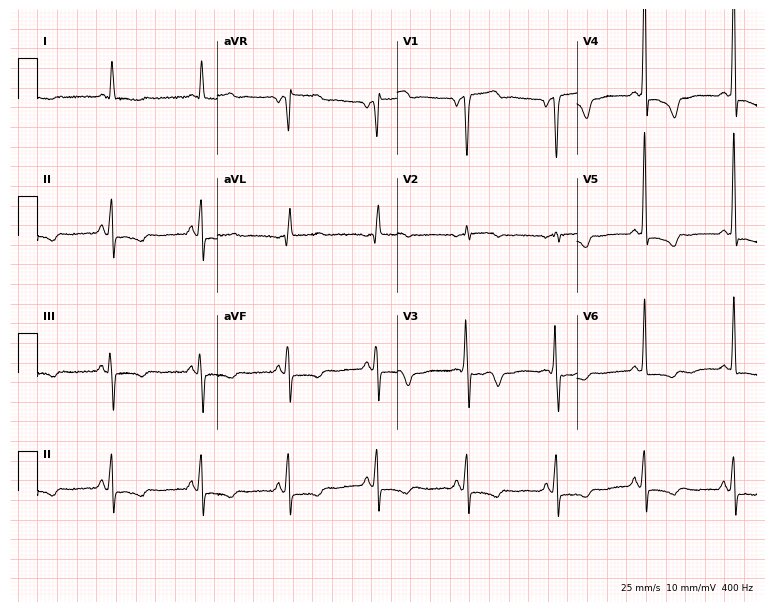
12-lead ECG from an 80-year-old woman. Screened for six findings — first-degree AV block, right bundle branch block, left bundle branch block, sinus bradycardia, atrial fibrillation, sinus tachycardia — none is recorded.